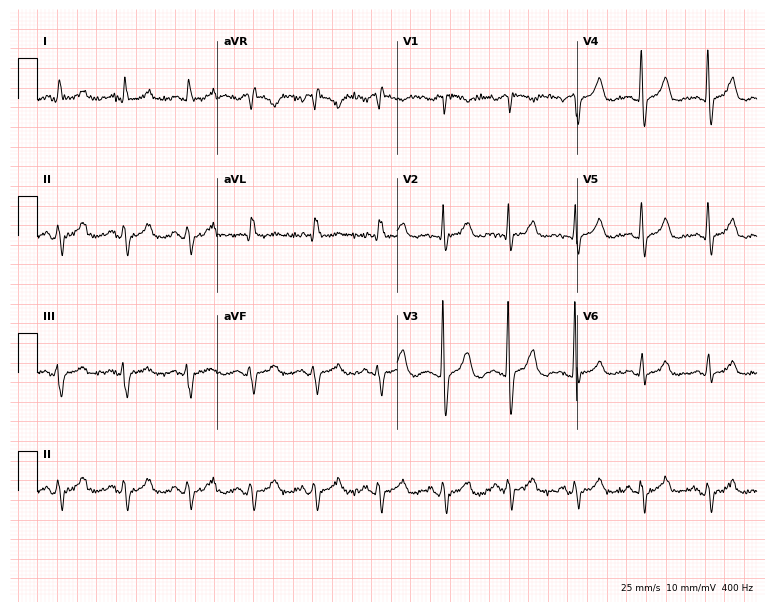
12-lead ECG from a 49-year-old male patient. Screened for six findings — first-degree AV block, right bundle branch block, left bundle branch block, sinus bradycardia, atrial fibrillation, sinus tachycardia — none is recorded.